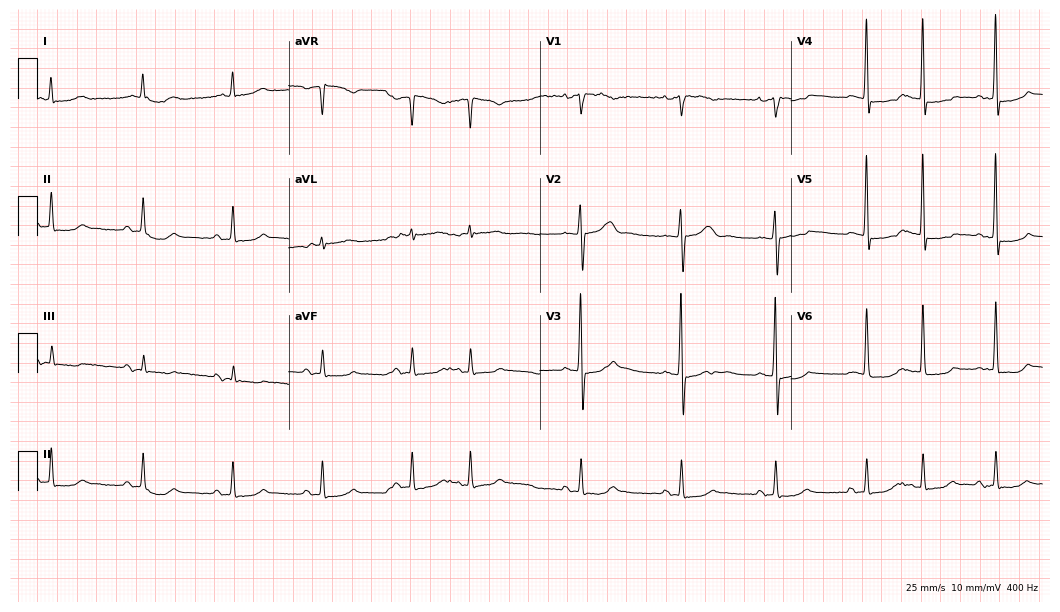
12-lead ECG from a man, 80 years old. Screened for six findings — first-degree AV block, right bundle branch block, left bundle branch block, sinus bradycardia, atrial fibrillation, sinus tachycardia — none is recorded. Findings outside these six are not listed.